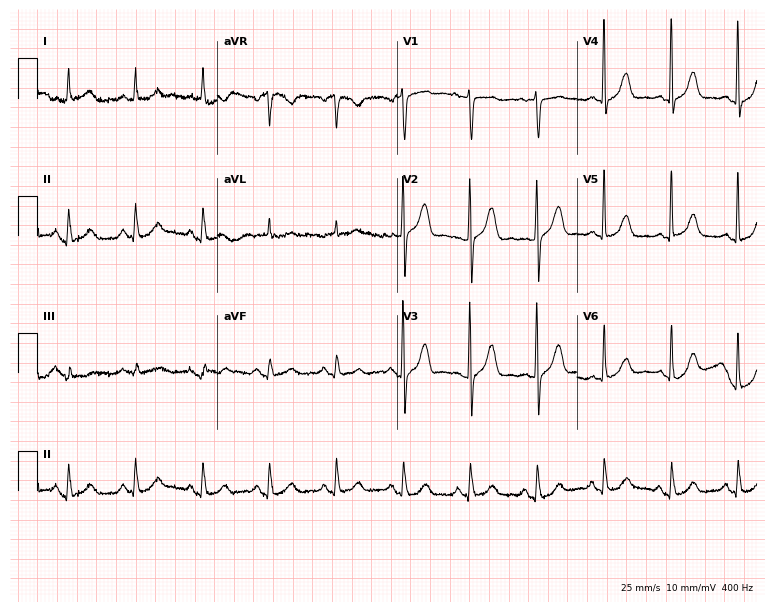
ECG — a 76-year-old woman. Labelled as a normal ECG.